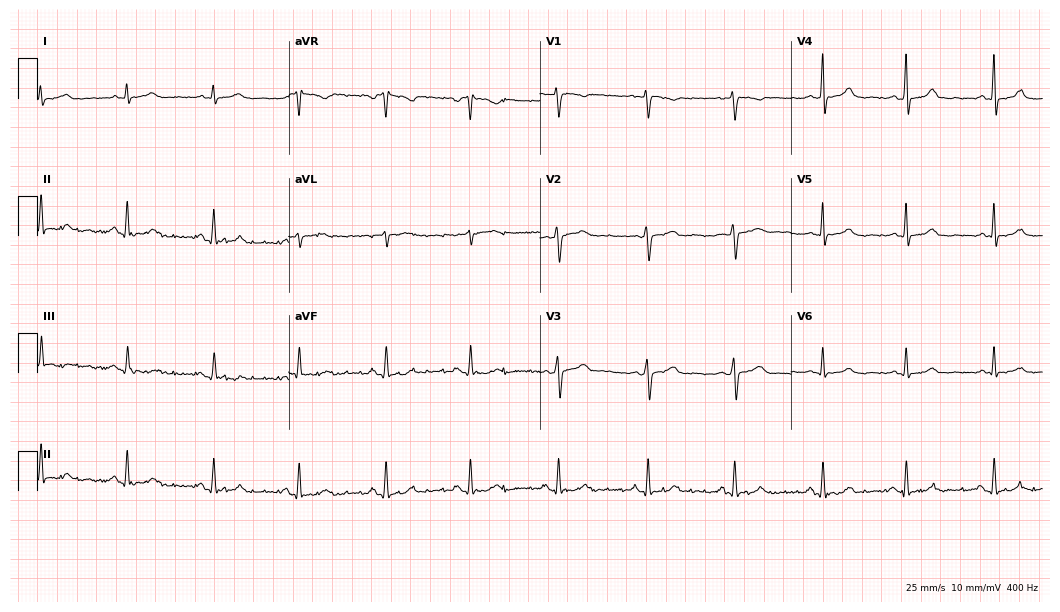
Electrocardiogram, a female patient, 35 years old. Overall reading on record: normal ECG.